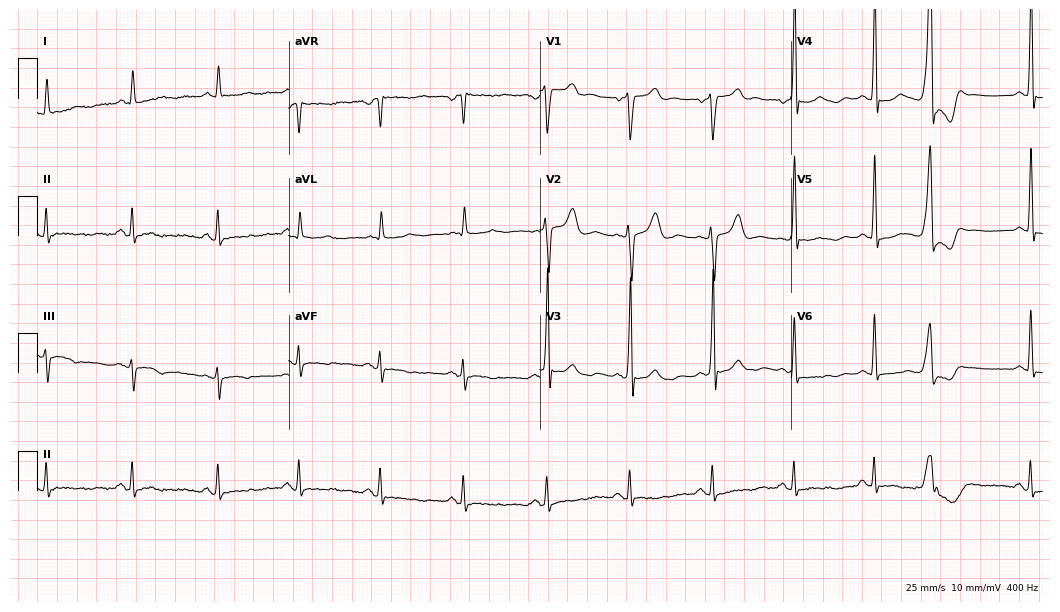
Resting 12-lead electrocardiogram. Patient: a 77-year-old male. None of these six findings is recorded: first-degree AV block, right bundle branch block, left bundle branch block, sinus bradycardia, atrial fibrillation, sinus tachycardia.